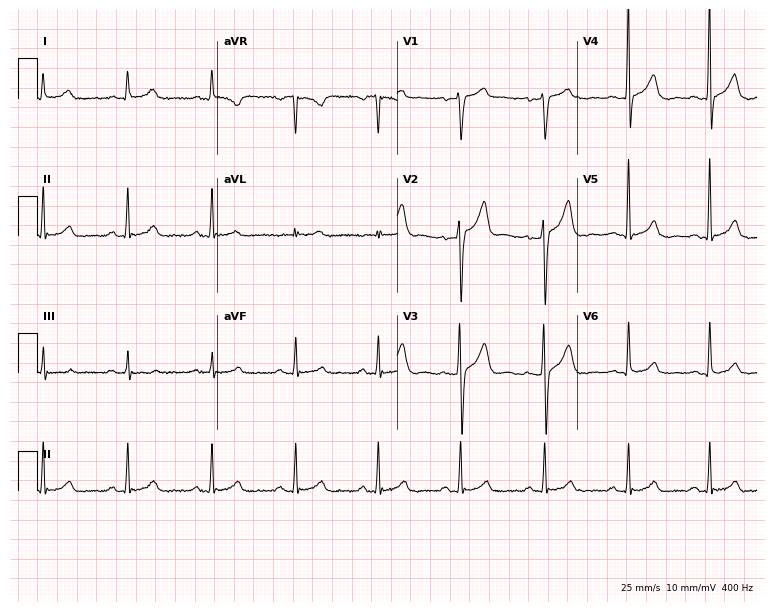
Electrocardiogram (7.3-second recording at 400 Hz), a man, 43 years old. Of the six screened findings (first-degree AV block, right bundle branch block, left bundle branch block, sinus bradycardia, atrial fibrillation, sinus tachycardia), none is recorded. Findings outside these six are not listed.